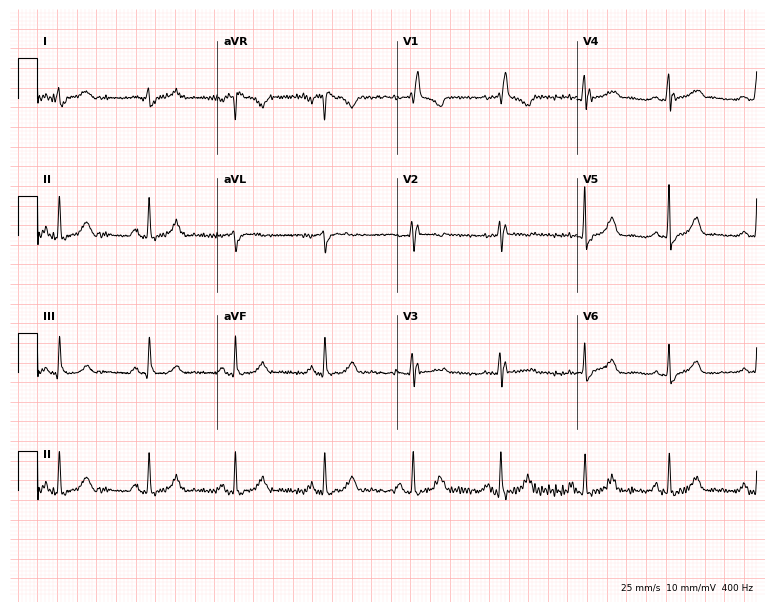
Resting 12-lead electrocardiogram. Patient: a 43-year-old woman. None of these six findings is recorded: first-degree AV block, right bundle branch block, left bundle branch block, sinus bradycardia, atrial fibrillation, sinus tachycardia.